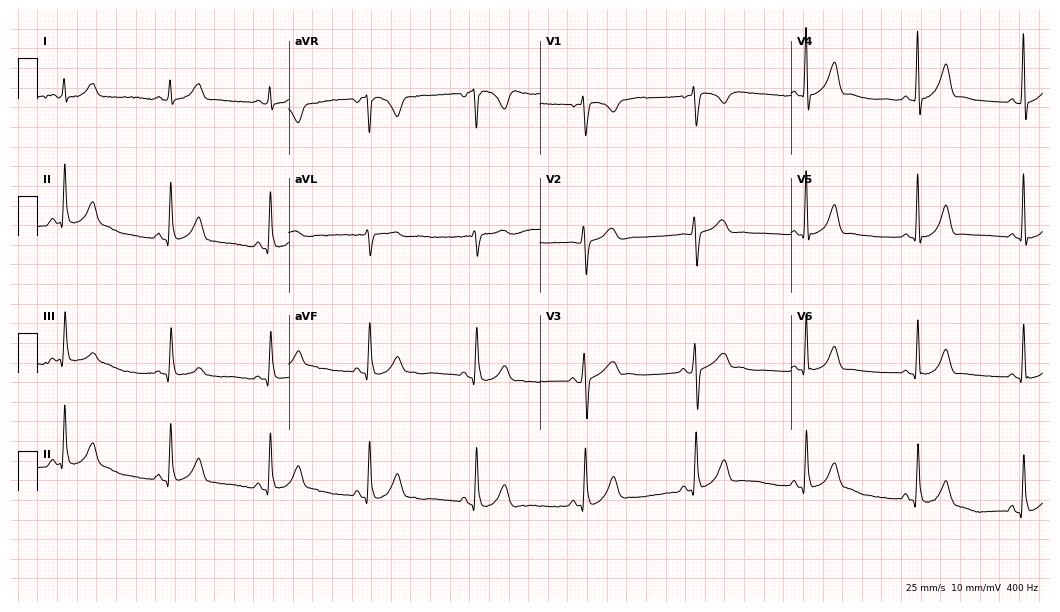
Resting 12-lead electrocardiogram (10.2-second recording at 400 Hz). Patient: a 40-year-old male. Read as a normal ECG.